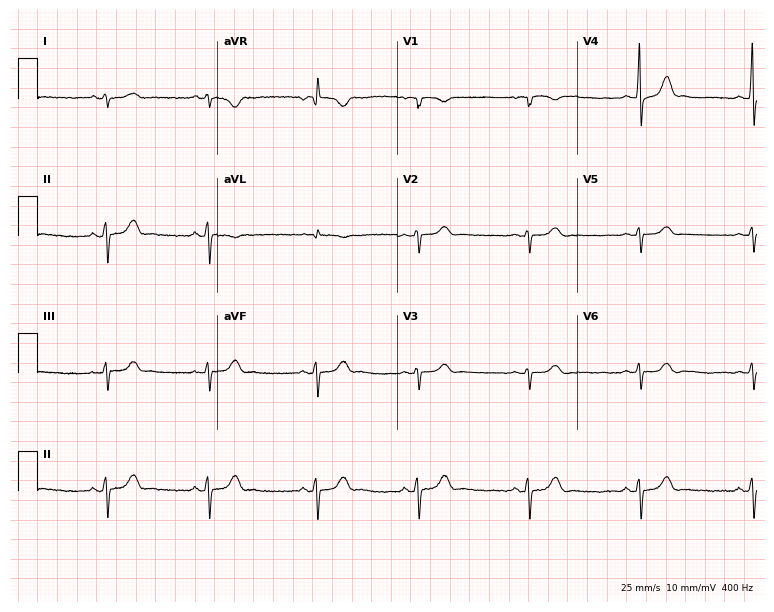
12-lead ECG (7.3-second recording at 400 Hz) from an 18-year-old woman. Screened for six findings — first-degree AV block, right bundle branch block (RBBB), left bundle branch block (LBBB), sinus bradycardia, atrial fibrillation (AF), sinus tachycardia — none is recorded. Other findings, if any, are not listed.